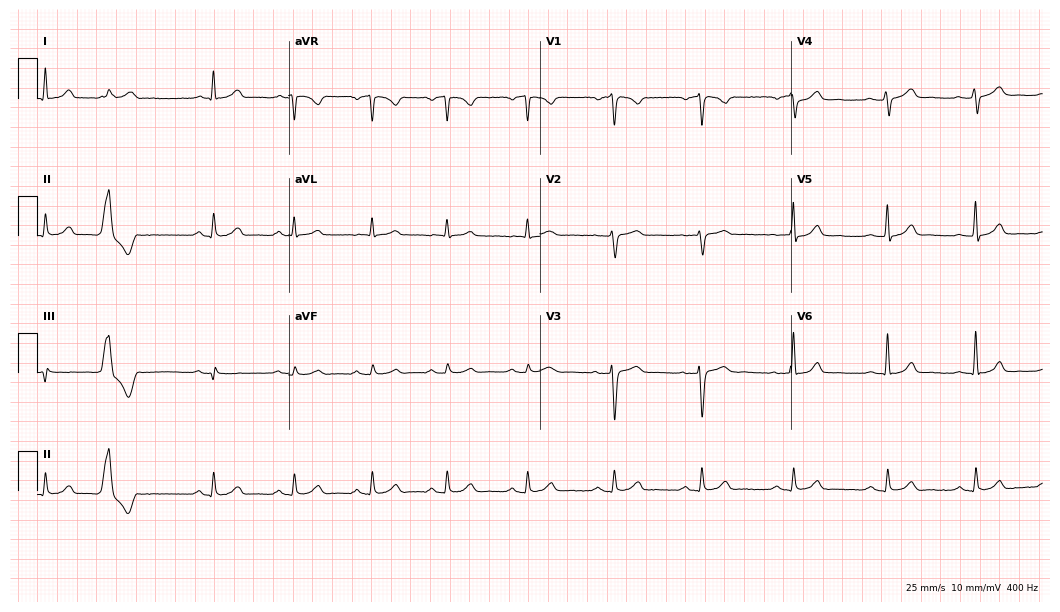
Standard 12-lead ECG recorded from a 40-year-old woman. Read as a normal ECG.